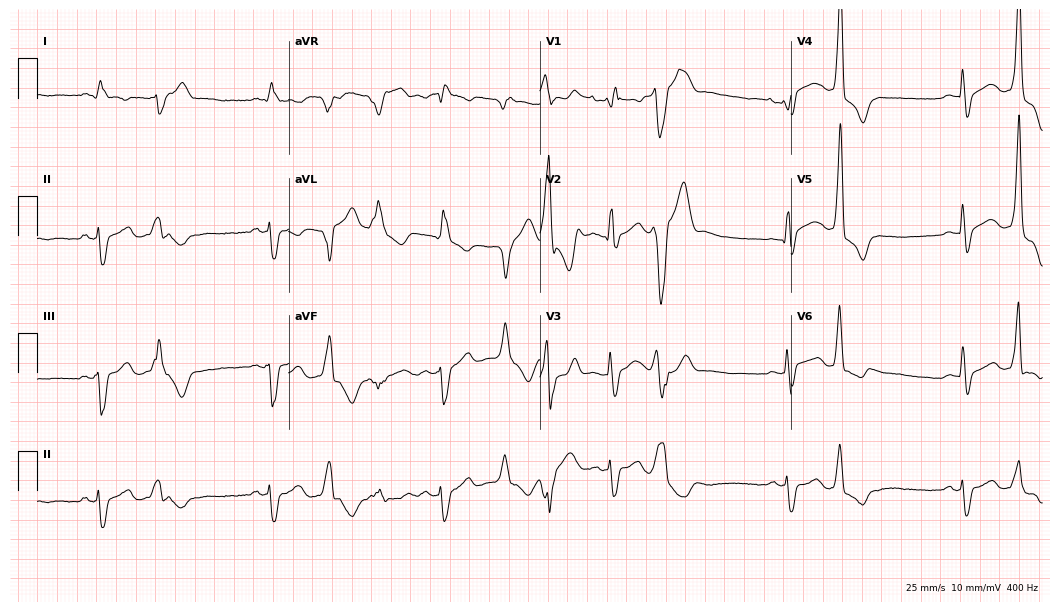
ECG — a woman, 22 years old. Findings include right bundle branch block, atrial fibrillation.